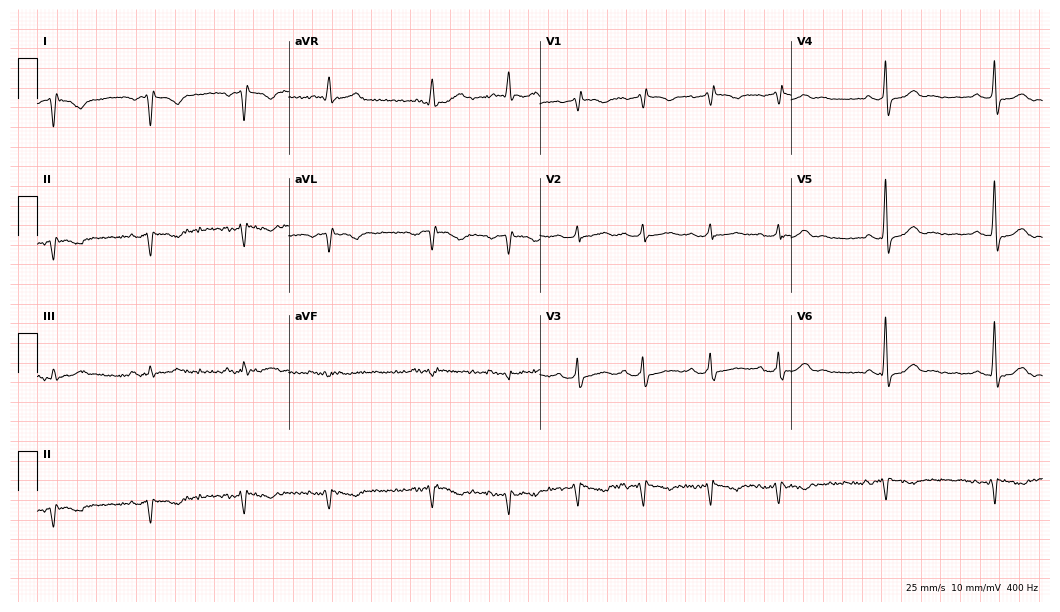
Standard 12-lead ECG recorded from a male patient, 82 years old (10.2-second recording at 400 Hz). None of these six findings is recorded: first-degree AV block, right bundle branch block, left bundle branch block, sinus bradycardia, atrial fibrillation, sinus tachycardia. Findings outside these six are not listed.